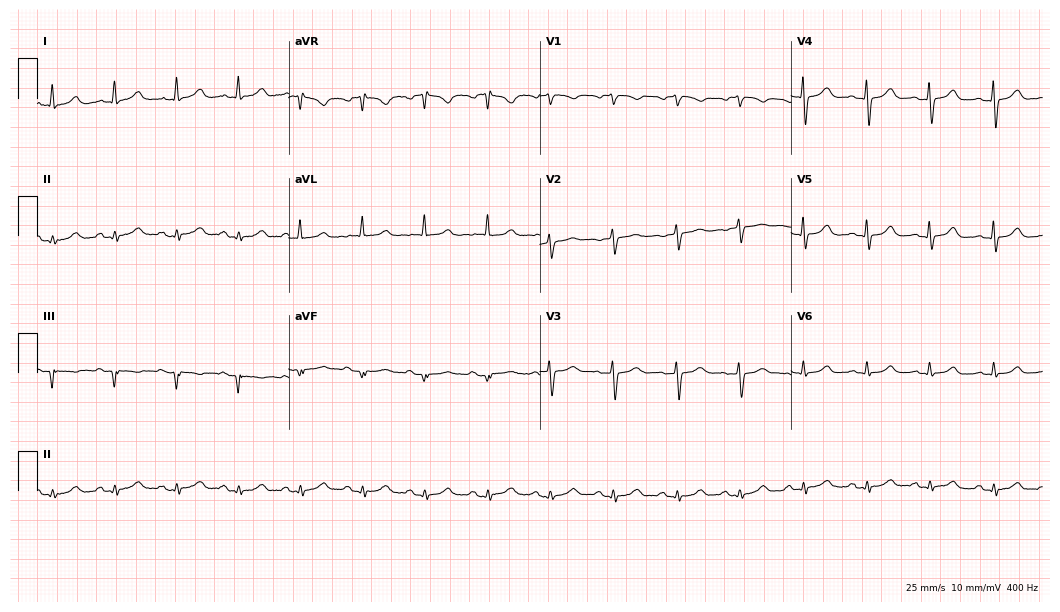
Electrocardiogram (10.2-second recording at 400 Hz), a female patient, 69 years old. Overall reading on record: normal ECG.